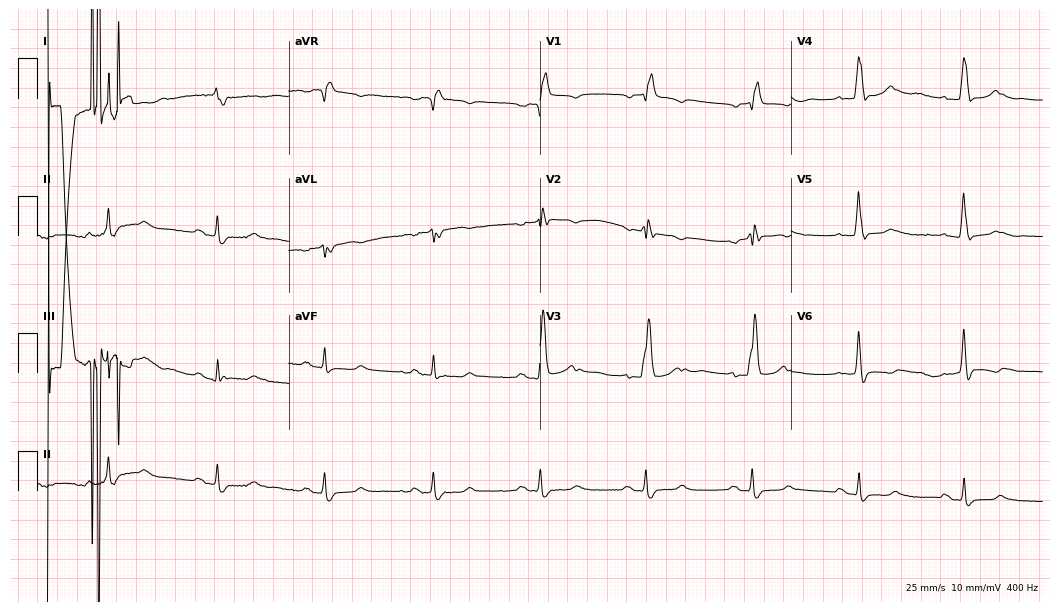
12-lead ECG from a male patient, 60 years old. Screened for six findings — first-degree AV block, right bundle branch block, left bundle branch block, sinus bradycardia, atrial fibrillation, sinus tachycardia — none is recorded. Other findings, if any, are not listed.